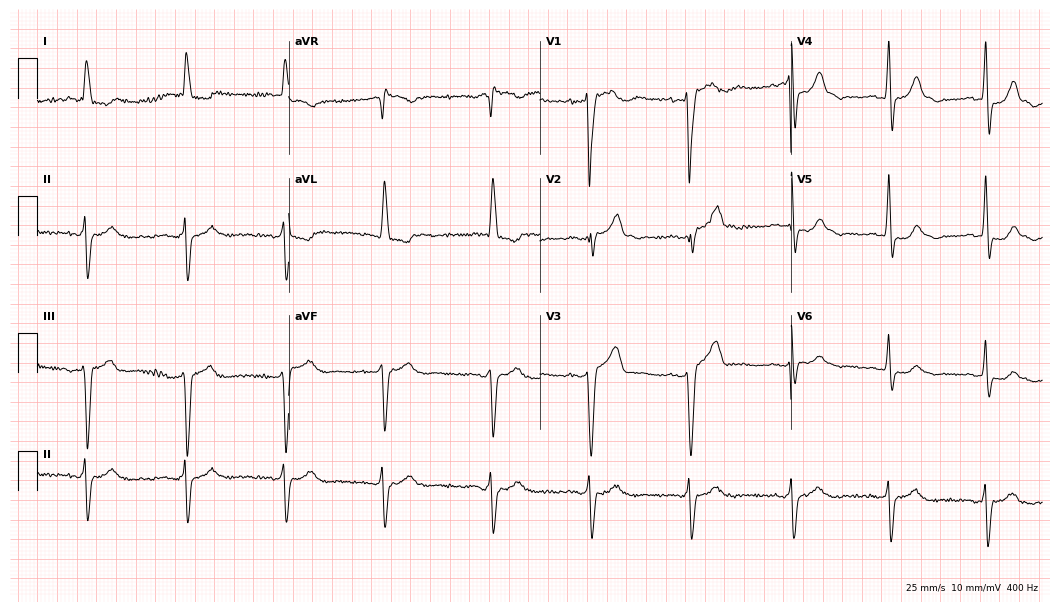
12-lead ECG from a woman, 83 years old. Screened for six findings — first-degree AV block, right bundle branch block, left bundle branch block, sinus bradycardia, atrial fibrillation, sinus tachycardia — none is recorded.